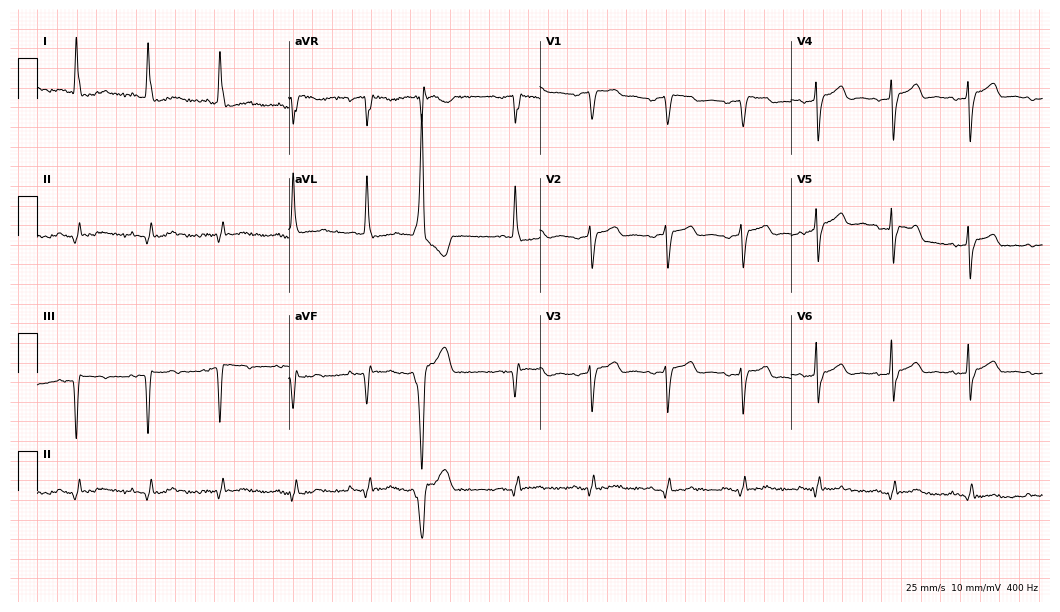
Electrocardiogram, a 72-year-old woman. Of the six screened findings (first-degree AV block, right bundle branch block, left bundle branch block, sinus bradycardia, atrial fibrillation, sinus tachycardia), none is recorded. Only these six findings were labelled.